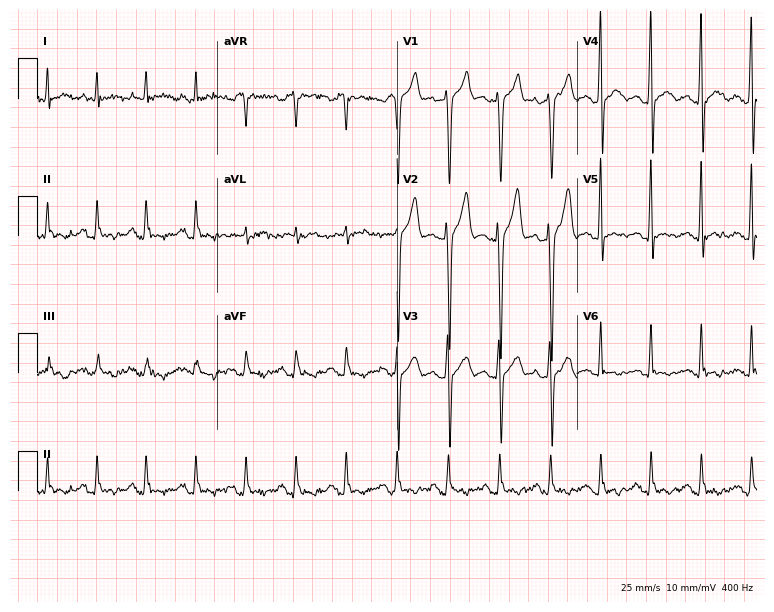
Resting 12-lead electrocardiogram. Patient: a male, 30 years old. The tracing shows sinus tachycardia (a sinus rate of 100 beats per minute or more).